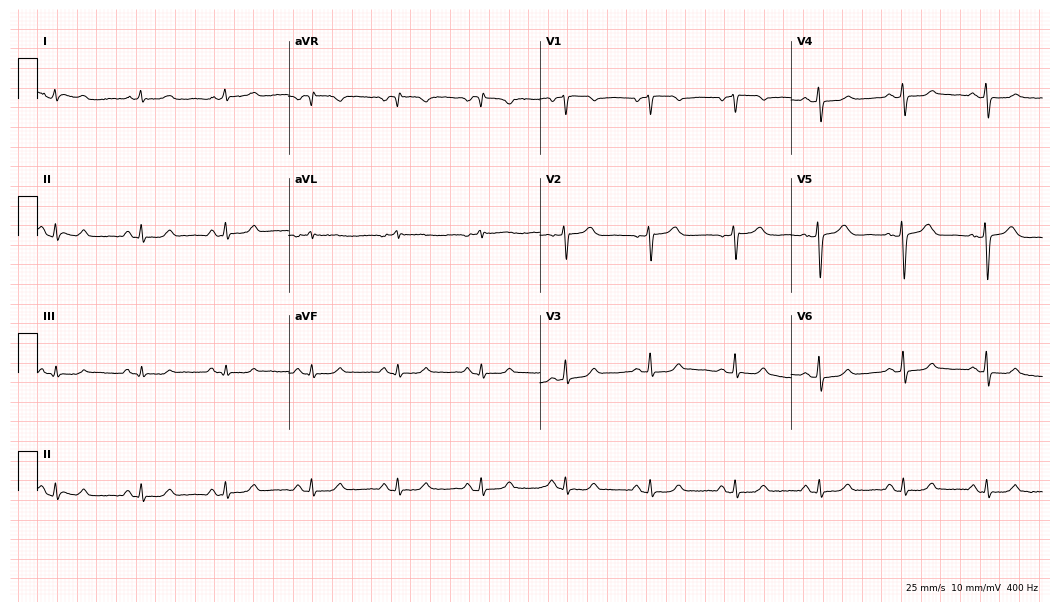
12-lead ECG from a female, 57 years old. Recorded interpretation: within normal limits.